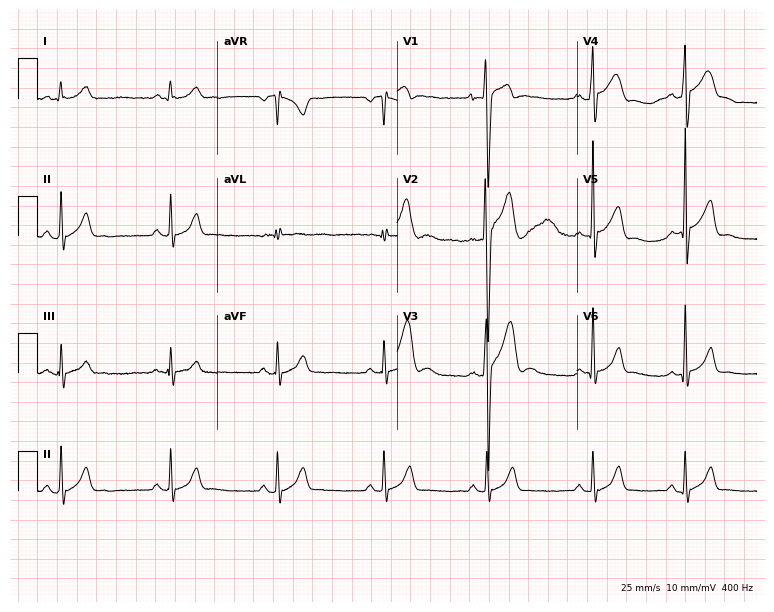
ECG — an 18-year-old man. Labelled as a normal ECG.